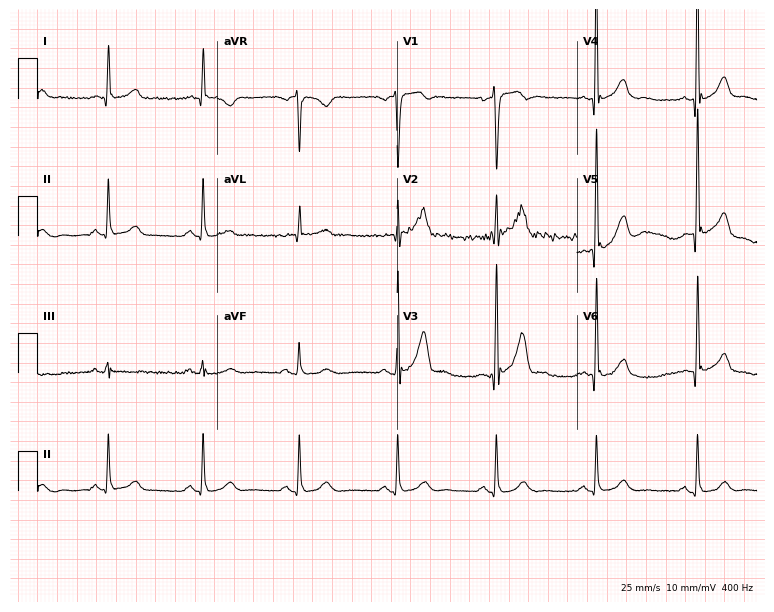
Standard 12-lead ECG recorded from a male, 68 years old. None of these six findings is recorded: first-degree AV block, right bundle branch block, left bundle branch block, sinus bradycardia, atrial fibrillation, sinus tachycardia. Other findings, if any, are not listed.